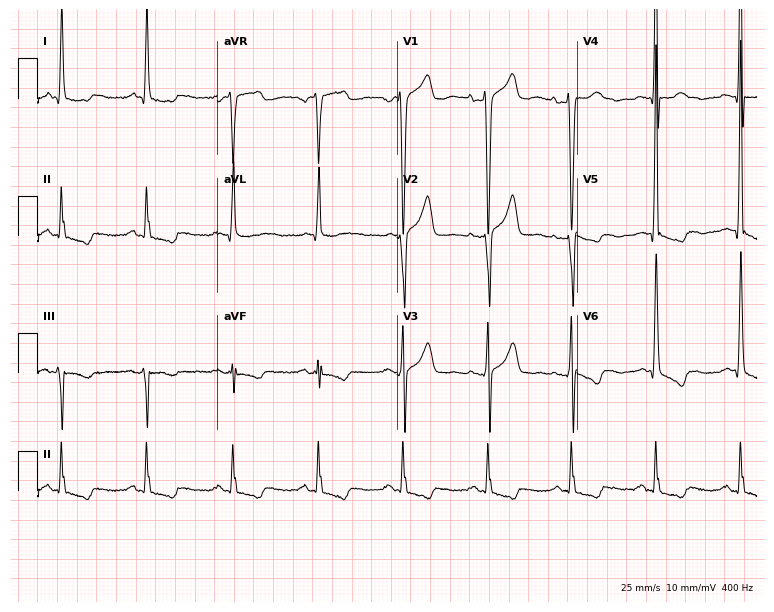
Standard 12-lead ECG recorded from a 58-year-old man. None of these six findings is recorded: first-degree AV block, right bundle branch block, left bundle branch block, sinus bradycardia, atrial fibrillation, sinus tachycardia. Only these six findings were labelled.